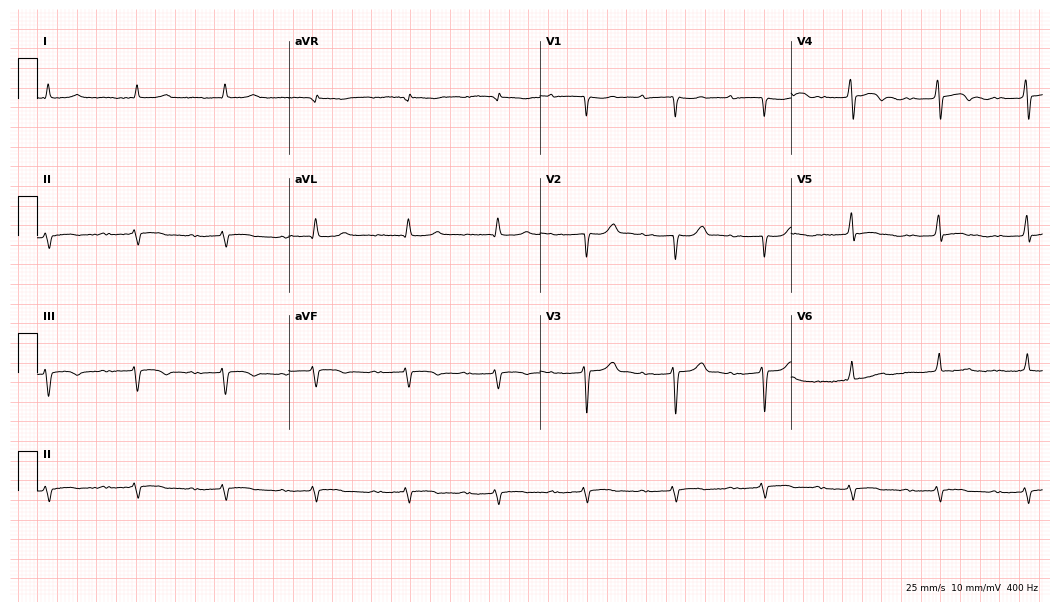
12-lead ECG from a woman, 69 years old. Screened for six findings — first-degree AV block, right bundle branch block, left bundle branch block, sinus bradycardia, atrial fibrillation, sinus tachycardia — none is recorded.